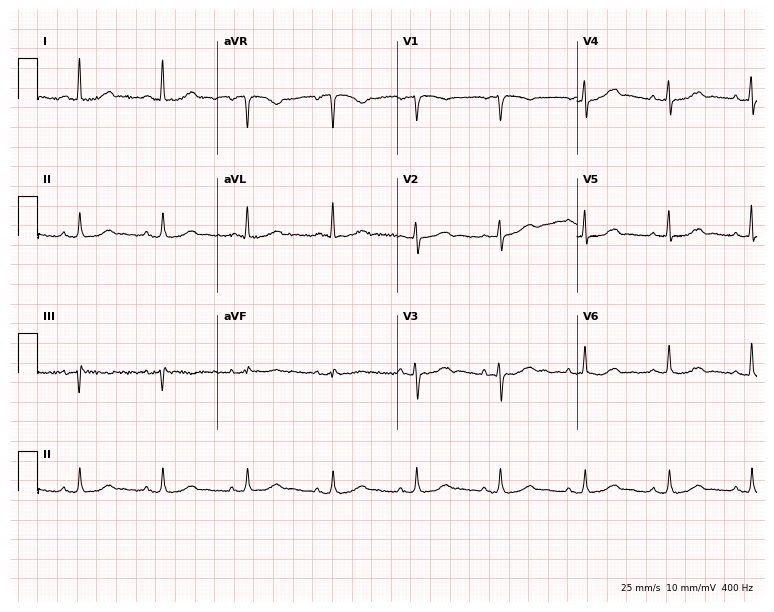
12-lead ECG from a 71-year-old woman (7.3-second recording at 400 Hz). Recorded interpretation: within normal limits.